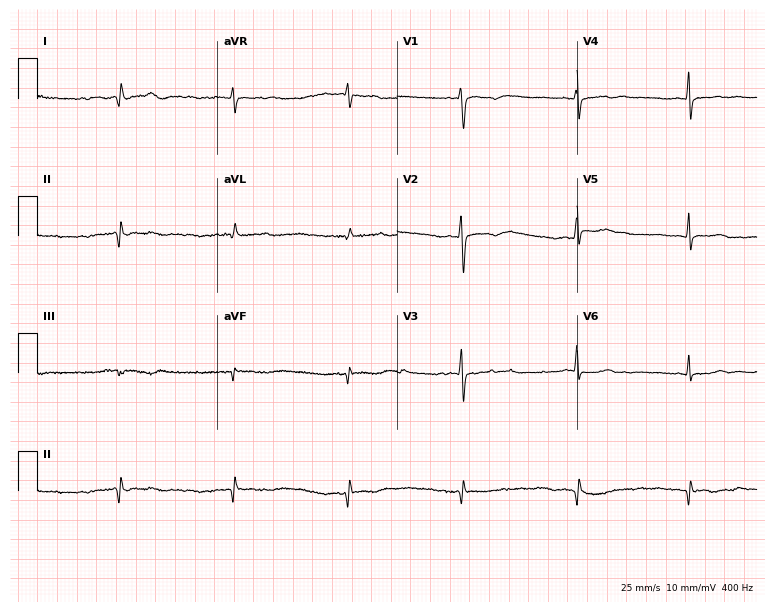
12-lead ECG from a woman, 25 years old (7.3-second recording at 400 Hz). No first-degree AV block, right bundle branch block, left bundle branch block, sinus bradycardia, atrial fibrillation or sinus tachycardia recorded for this tracing.